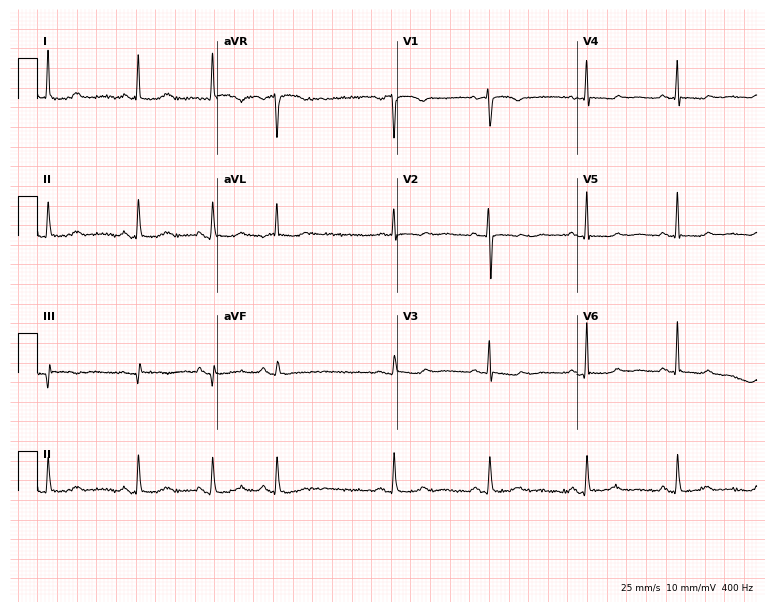
ECG — a 55-year-old woman. Screened for six findings — first-degree AV block, right bundle branch block, left bundle branch block, sinus bradycardia, atrial fibrillation, sinus tachycardia — none is recorded. Only these six findings were labelled.